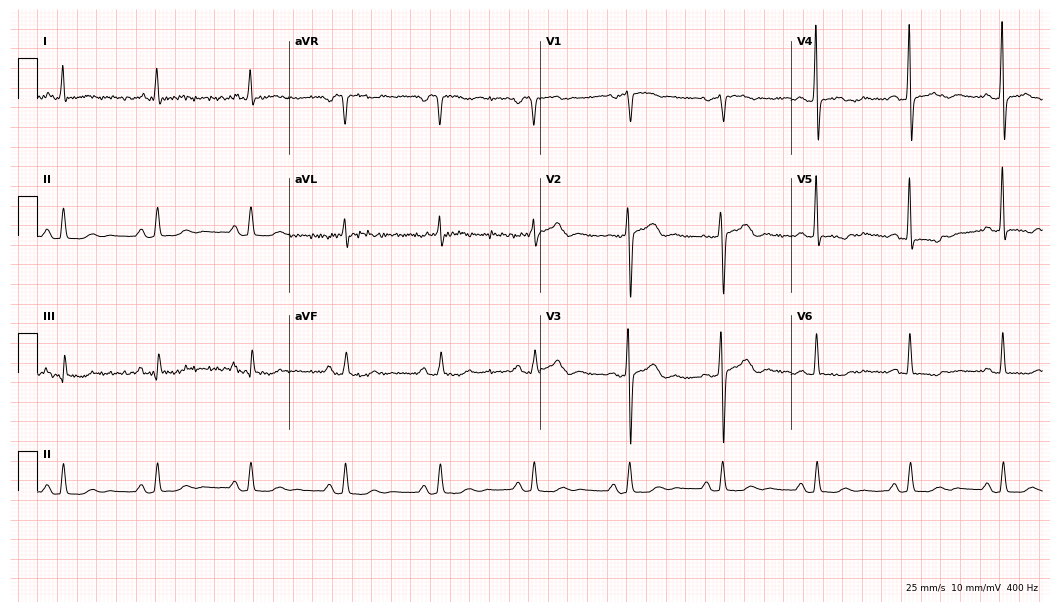
12-lead ECG from a female, 70 years old. Screened for six findings — first-degree AV block, right bundle branch block, left bundle branch block, sinus bradycardia, atrial fibrillation, sinus tachycardia — none is recorded.